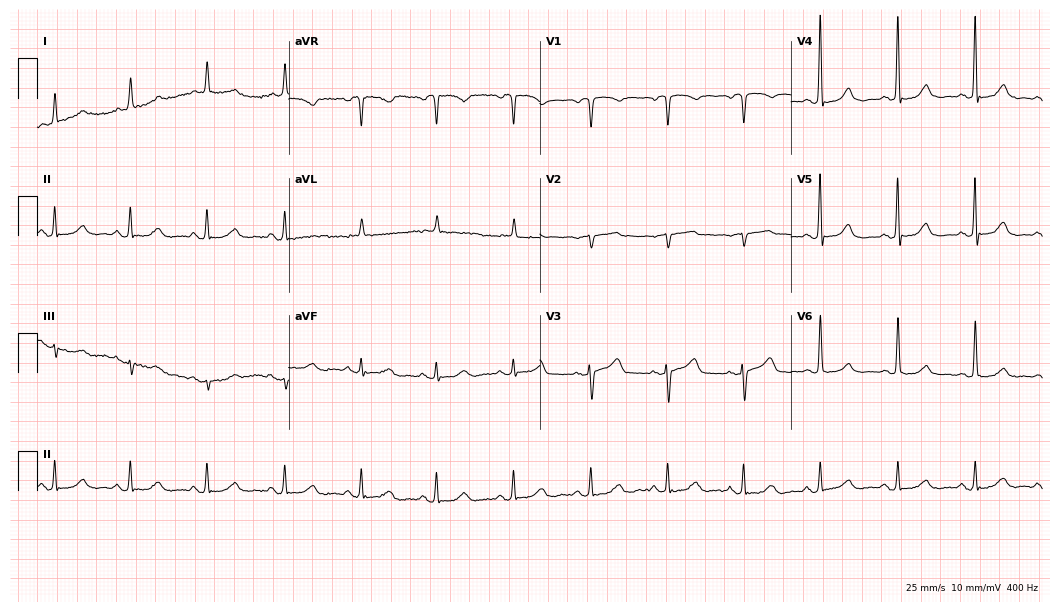
Resting 12-lead electrocardiogram. Patient: a female, 83 years old. None of these six findings is recorded: first-degree AV block, right bundle branch block (RBBB), left bundle branch block (LBBB), sinus bradycardia, atrial fibrillation (AF), sinus tachycardia.